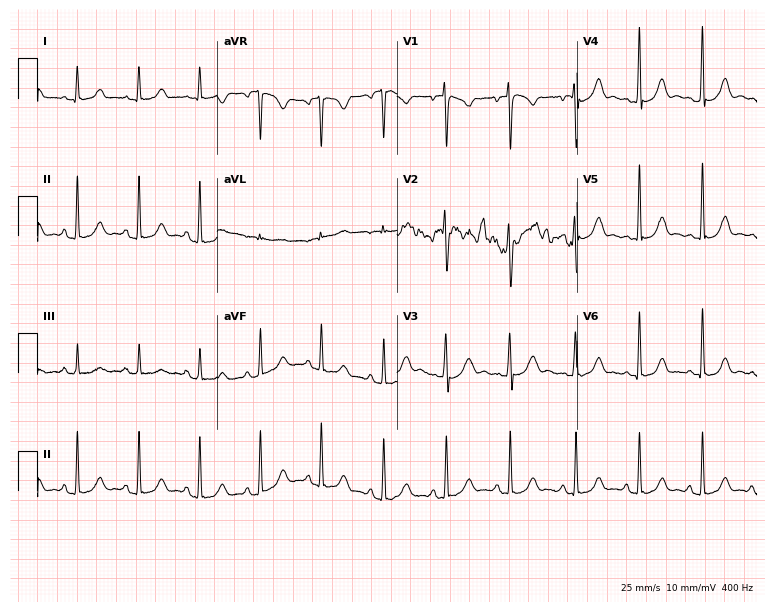
12-lead ECG from a 23-year-old female. Labelled as a normal ECG.